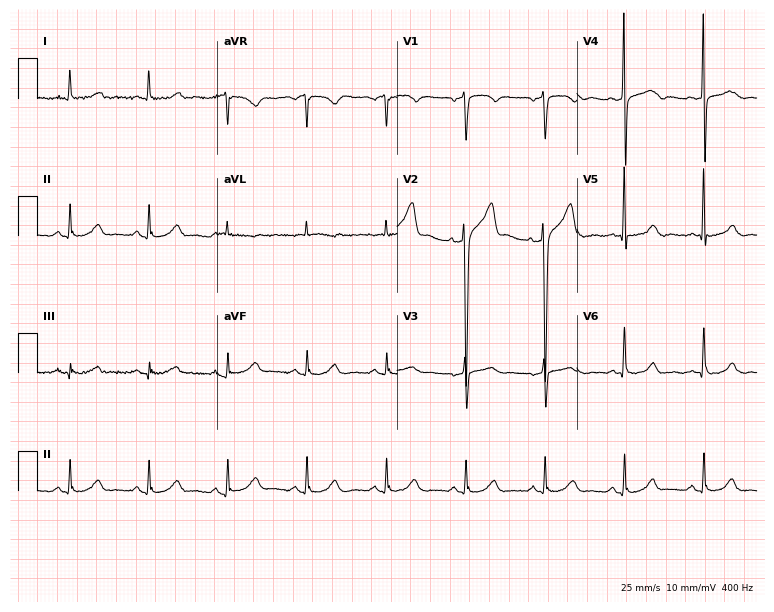
12-lead ECG from a male patient, 60 years old. Recorded interpretation: within normal limits.